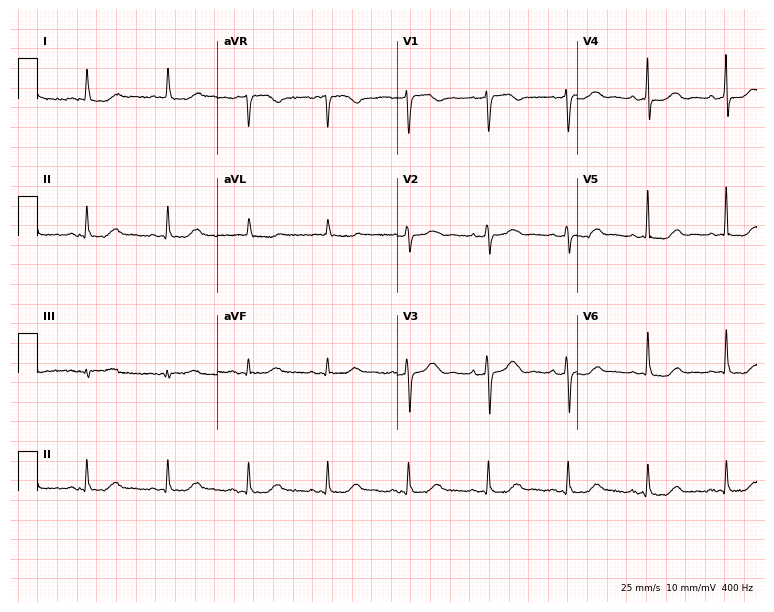
12-lead ECG from a 74-year-old female patient. Screened for six findings — first-degree AV block, right bundle branch block, left bundle branch block, sinus bradycardia, atrial fibrillation, sinus tachycardia — none is recorded. Only these six findings were labelled.